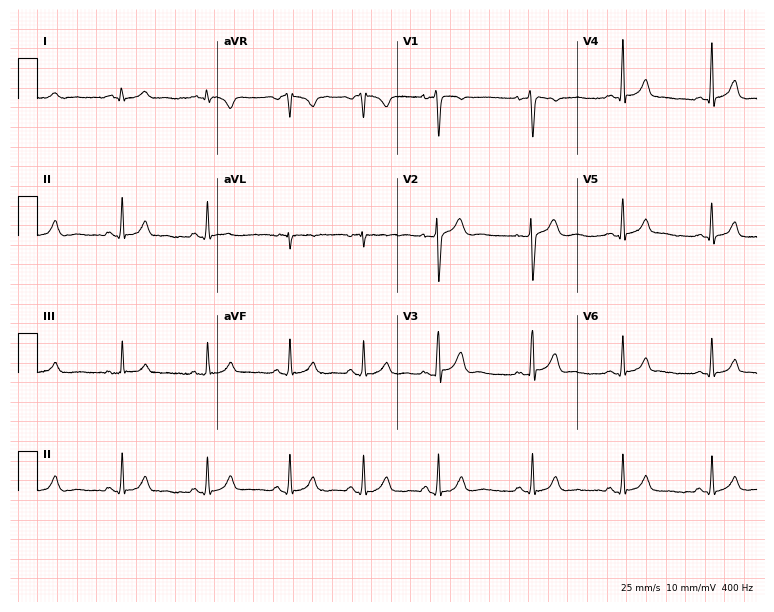
ECG (7.3-second recording at 400 Hz) — a 27-year-old male patient. Screened for six findings — first-degree AV block, right bundle branch block, left bundle branch block, sinus bradycardia, atrial fibrillation, sinus tachycardia — none is recorded.